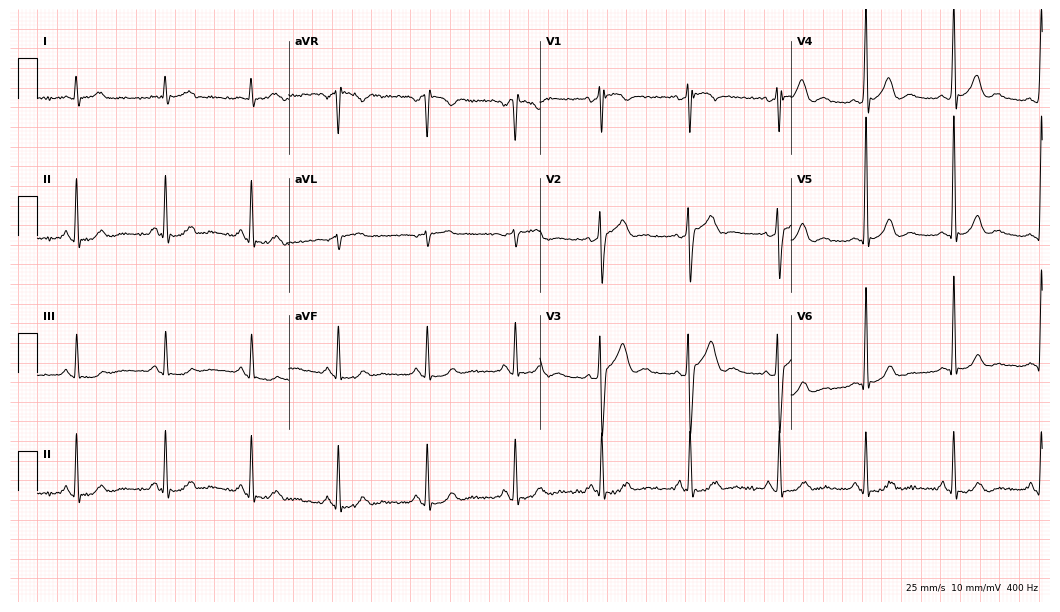
ECG (10.2-second recording at 400 Hz) — a male patient, 67 years old. Screened for six findings — first-degree AV block, right bundle branch block (RBBB), left bundle branch block (LBBB), sinus bradycardia, atrial fibrillation (AF), sinus tachycardia — none is recorded. Findings outside these six are not listed.